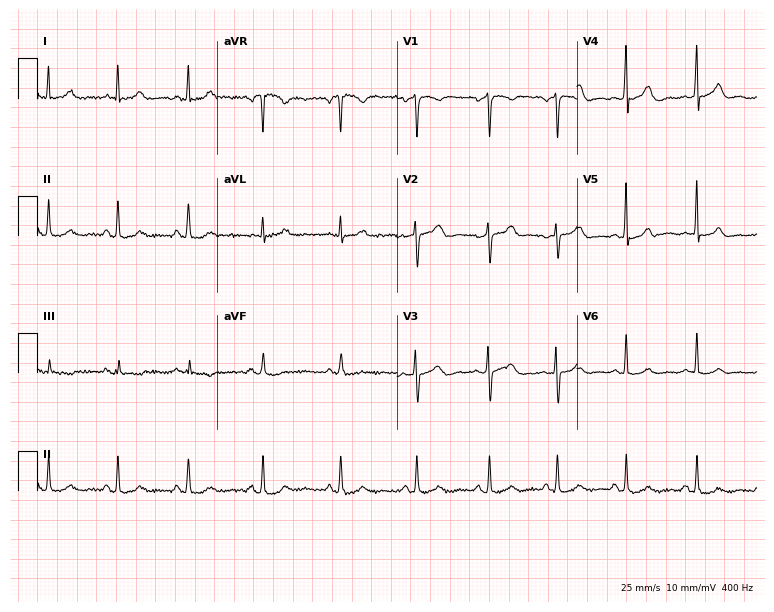
Resting 12-lead electrocardiogram (7.3-second recording at 400 Hz). Patient: a 43-year-old female. Read as a normal ECG.